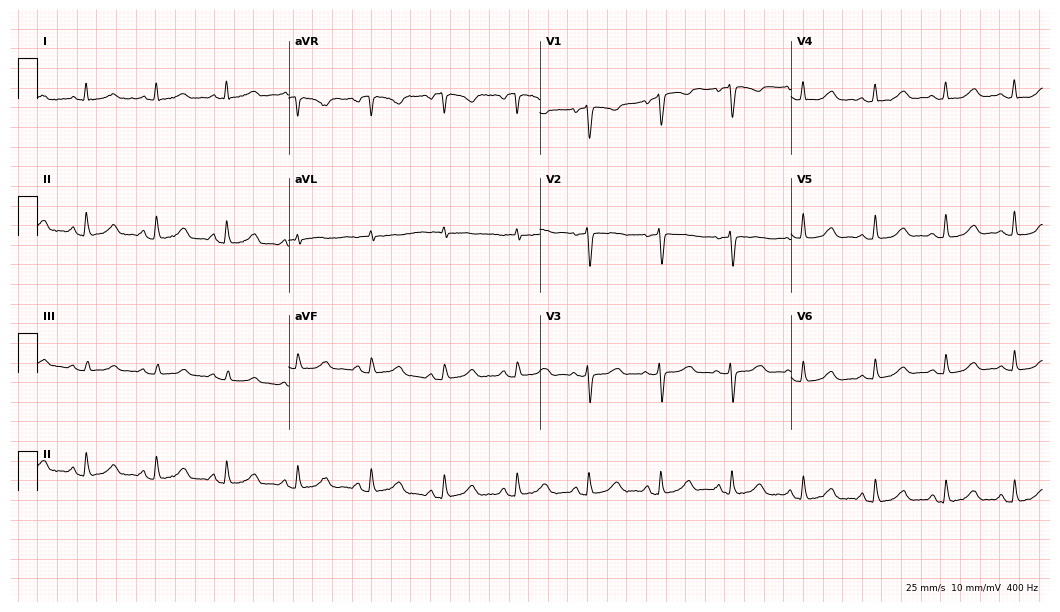
Standard 12-lead ECG recorded from a woman, 61 years old. Read as a normal ECG.